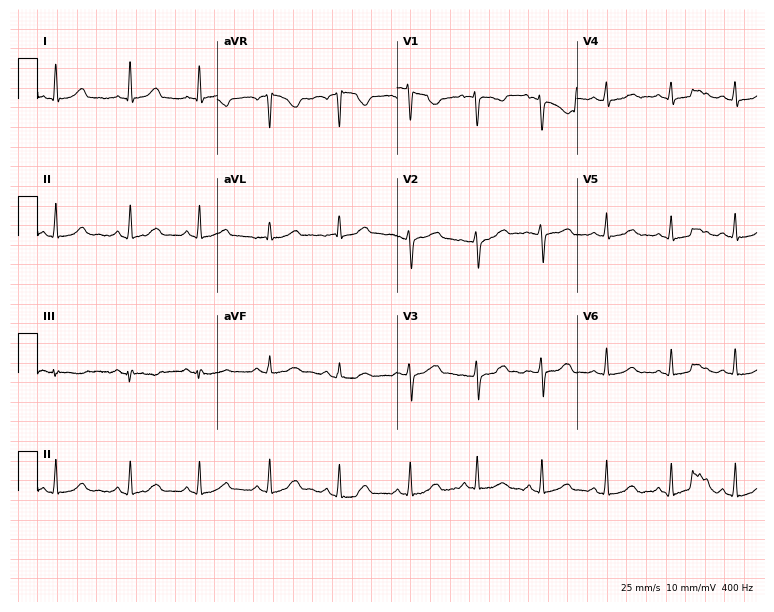
12-lead ECG from a woman, 30 years old (7.3-second recording at 400 Hz). Recorded interpretation: within normal limits.